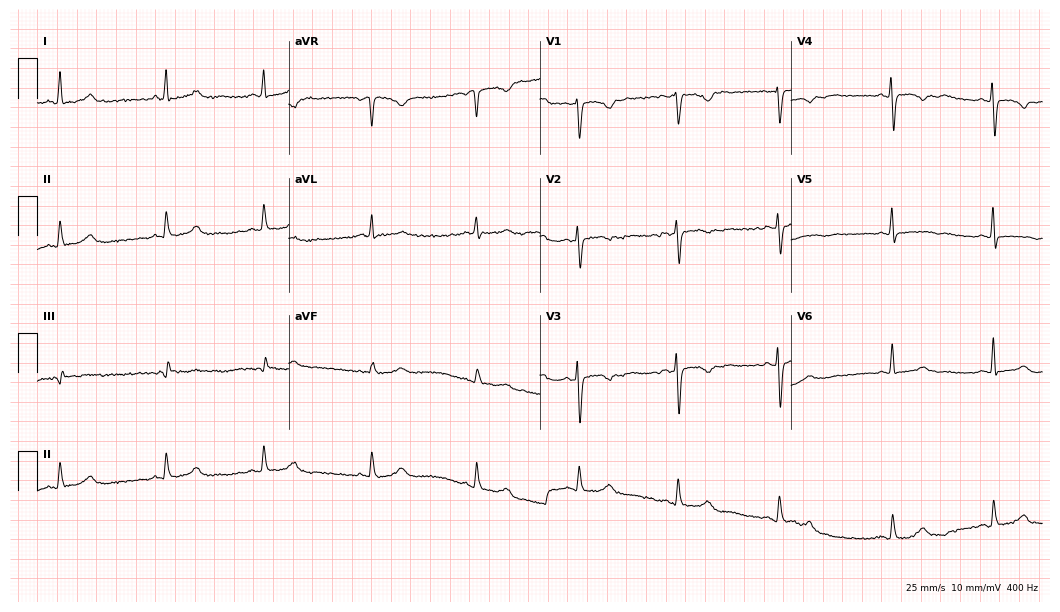
12-lead ECG from a 43-year-old woman. Screened for six findings — first-degree AV block, right bundle branch block, left bundle branch block, sinus bradycardia, atrial fibrillation, sinus tachycardia — none is recorded.